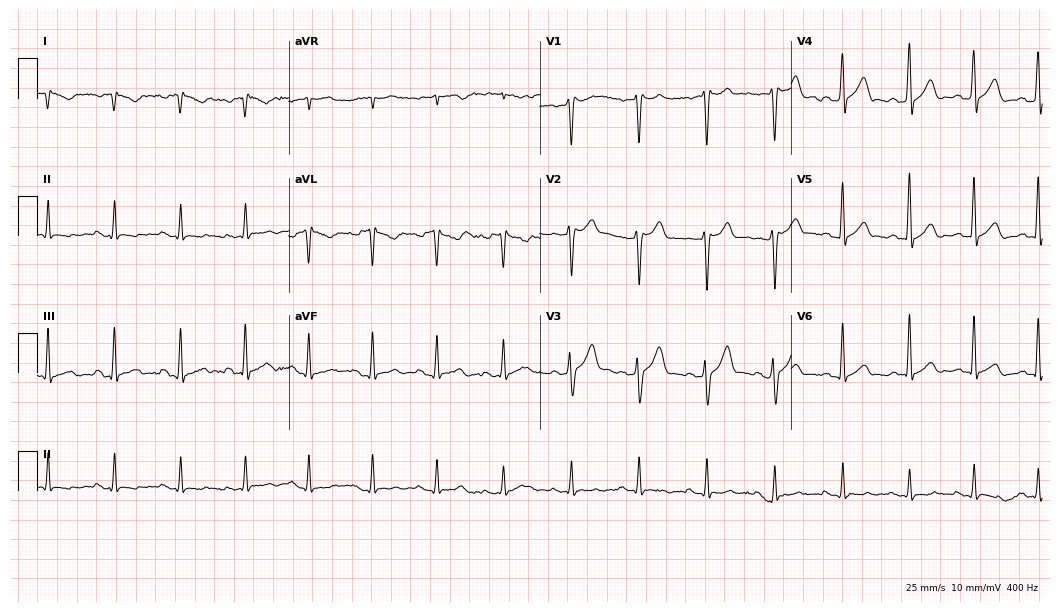
Electrocardiogram (10.2-second recording at 400 Hz), a male, 51 years old. Of the six screened findings (first-degree AV block, right bundle branch block, left bundle branch block, sinus bradycardia, atrial fibrillation, sinus tachycardia), none is recorded. Findings outside these six are not listed.